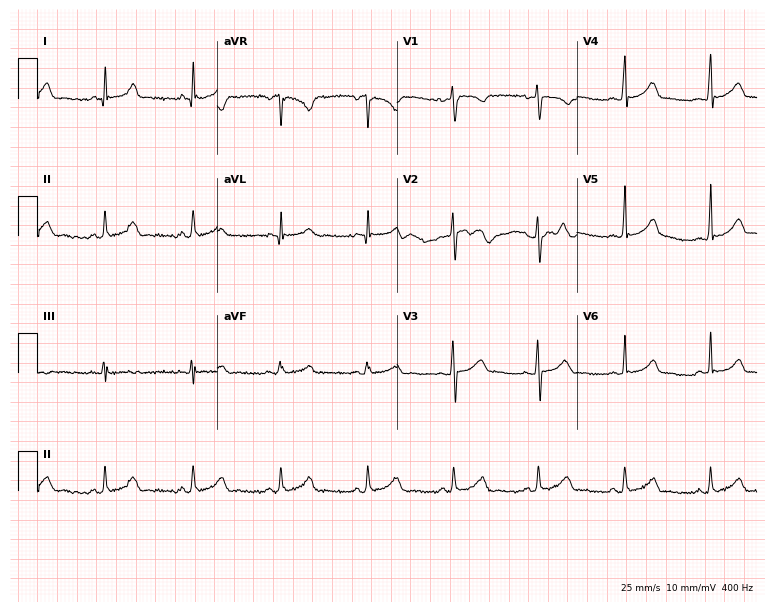
12-lead ECG from a 35-year-old woman (7.3-second recording at 400 Hz). Recorded interpretation: within normal limits.